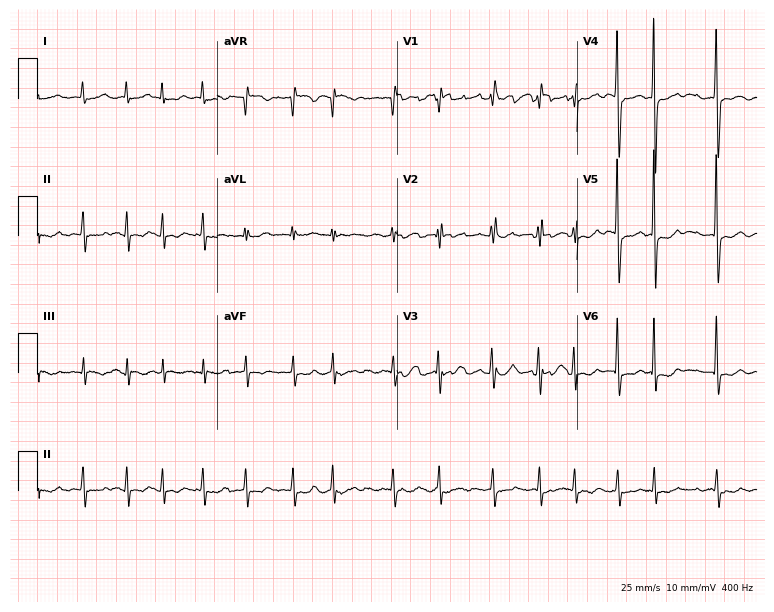
Standard 12-lead ECG recorded from an 83-year-old female. The tracing shows atrial fibrillation.